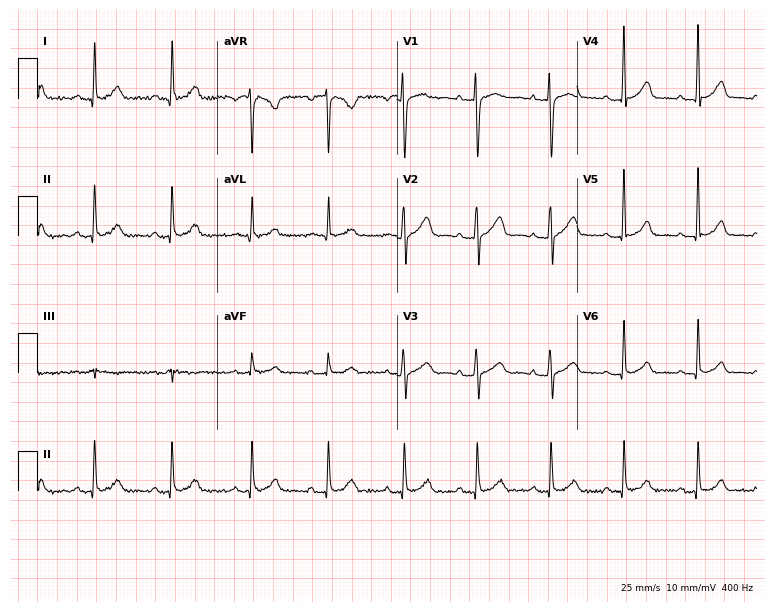
Standard 12-lead ECG recorded from a 38-year-old woman (7.3-second recording at 400 Hz). Read as a normal ECG.